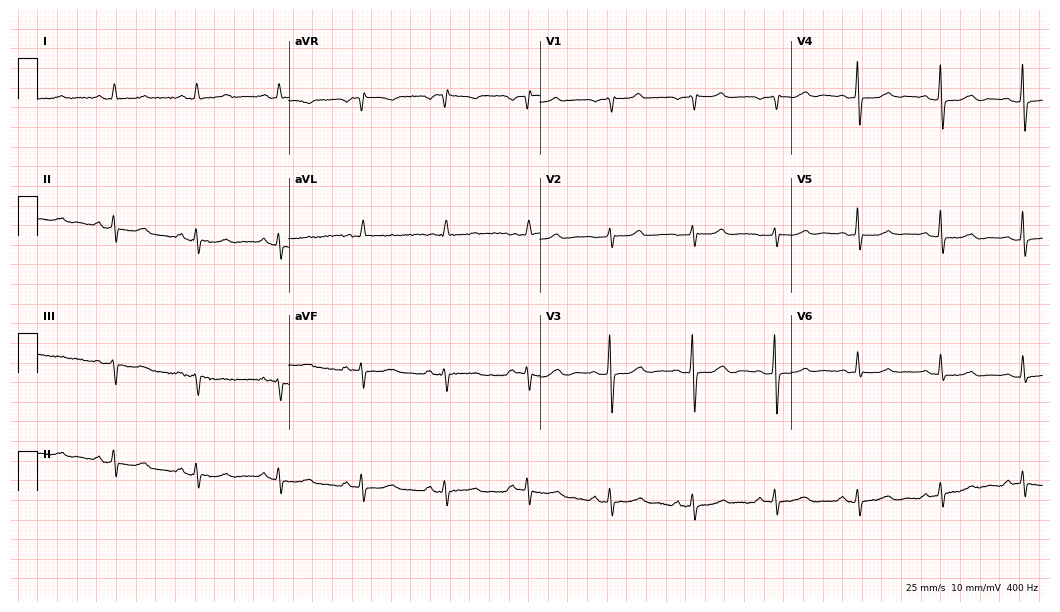
12-lead ECG from a 77-year-old woman. Screened for six findings — first-degree AV block, right bundle branch block, left bundle branch block, sinus bradycardia, atrial fibrillation, sinus tachycardia — none is recorded.